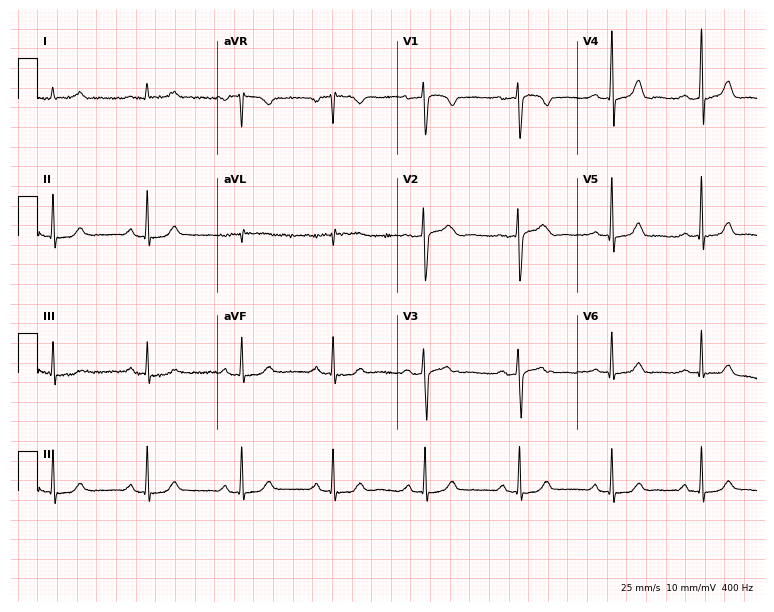
Standard 12-lead ECG recorded from a 47-year-old female (7.3-second recording at 400 Hz). Read as a normal ECG.